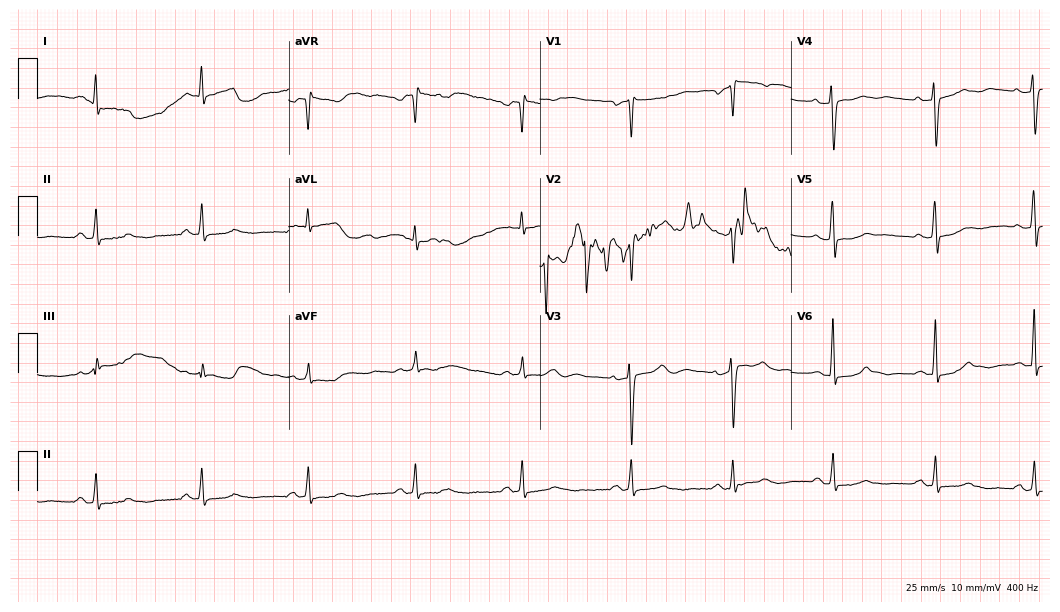
Resting 12-lead electrocardiogram. Patient: a female, 47 years old. None of these six findings is recorded: first-degree AV block, right bundle branch block, left bundle branch block, sinus bradycardia, atrial fibrillation, sinus tachycardia.